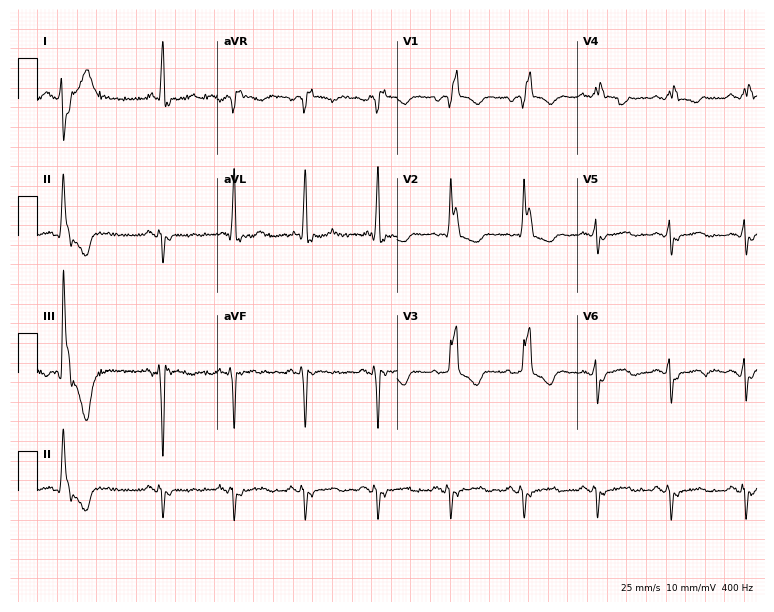
12-lead ECG from a female patient, 76 years old. Screened for six findings — first-degree AV block, right bundle branch block, left bundle branch block, sinus bradycardia, atrial fibrillation, sinus tachycardia — none is recorded.